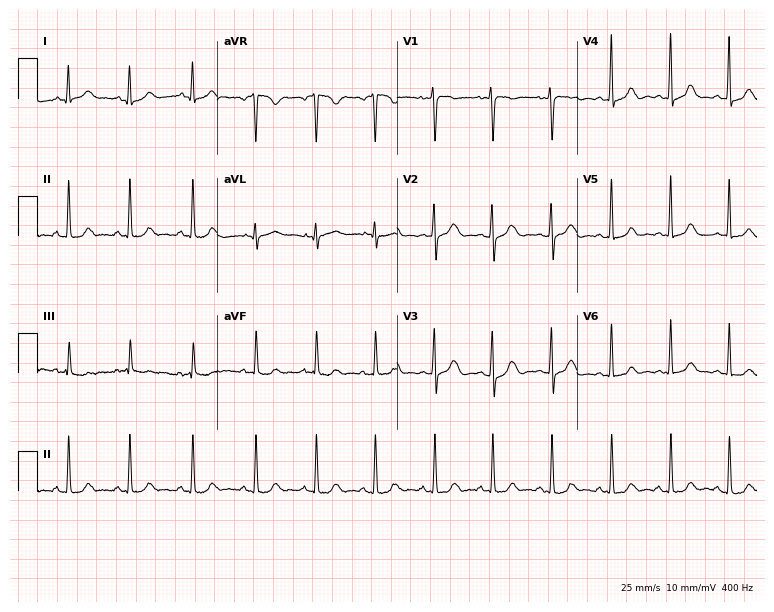
12-lead ECG from a 30-year-old female patient. Recorded interpretation: within normal limits.